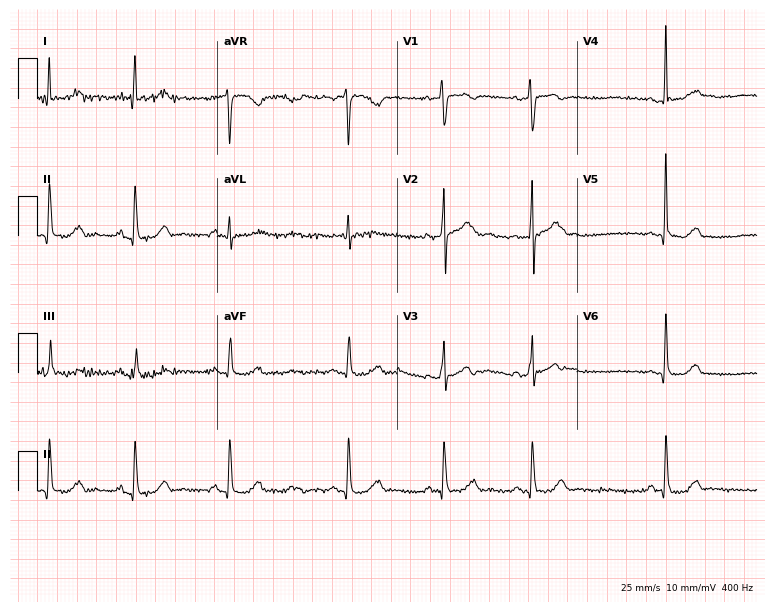
Resting 12-lead electrocardiogram (7.3-second recording at 400 Hz). Patient: a 41-year-old man. Read as a normal ECG.